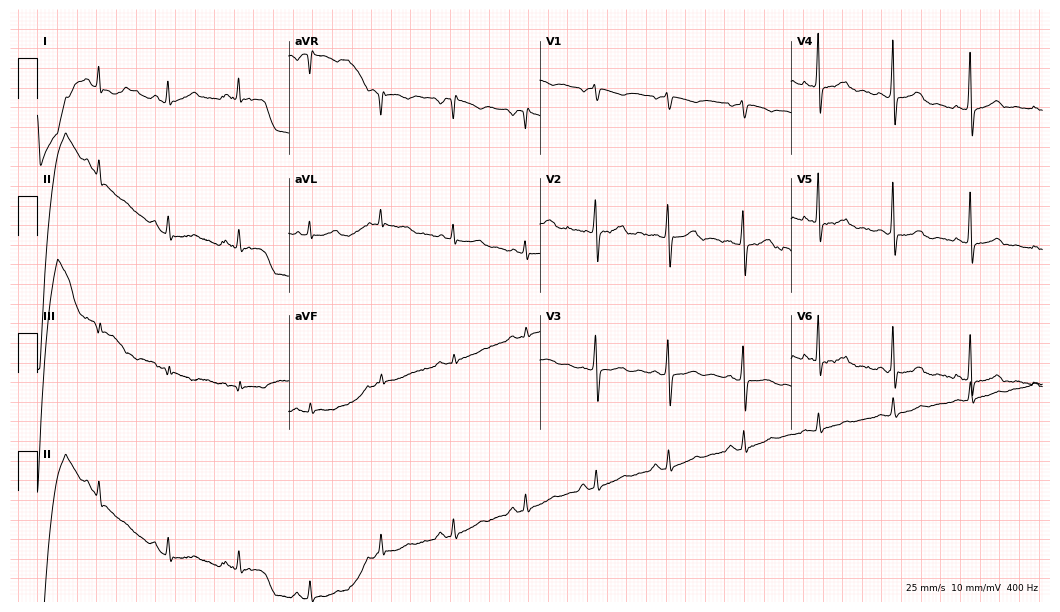
ECG (10.2-second recording at 400 Hz) — a female, 46 years old. Screened for six findings — first-degree AV block, right bundle branch block (RBBB), left bundle branch block (LBBB), sinus bradycardia, atrial fibrillation (AF), sinus tachycardia — none is recorded.